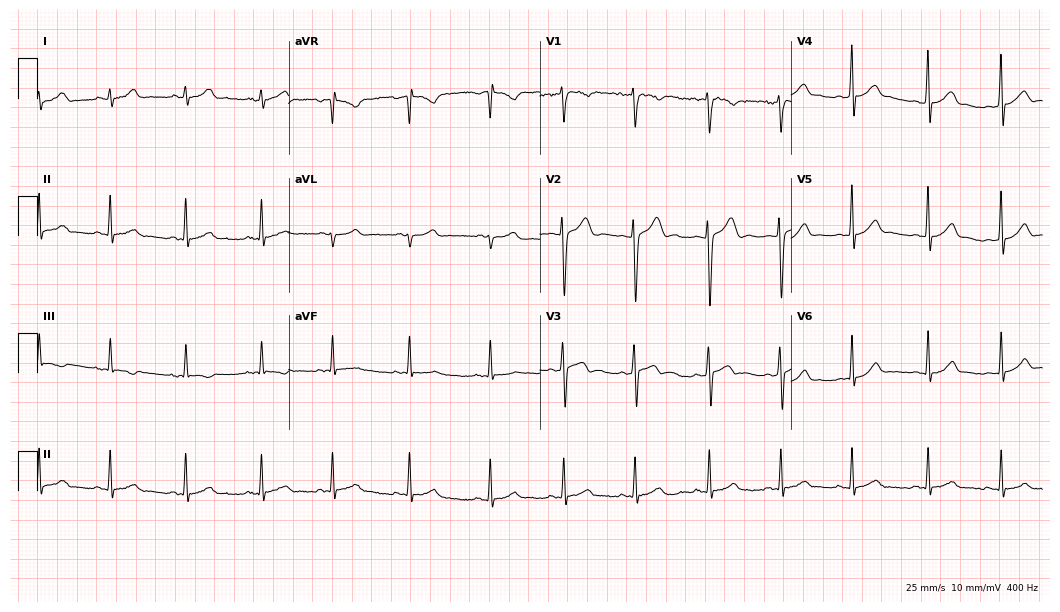
12-lead ECG from a man, 21 years old. Labelled as a normal ECG.